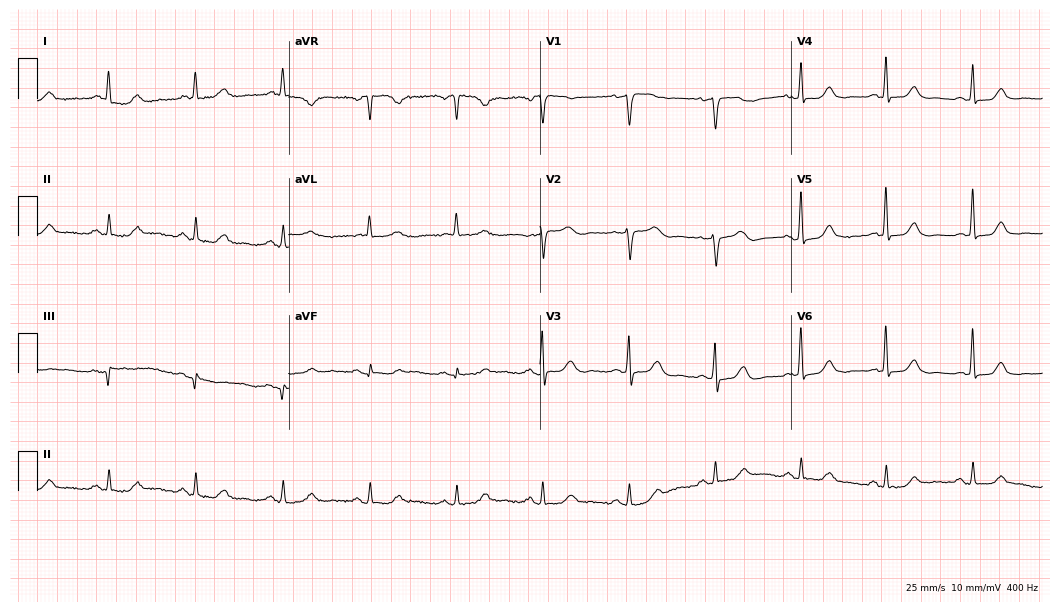
Standard 12-lead ECG recorded from an 81-year-old woman. Read as a normal ECG.